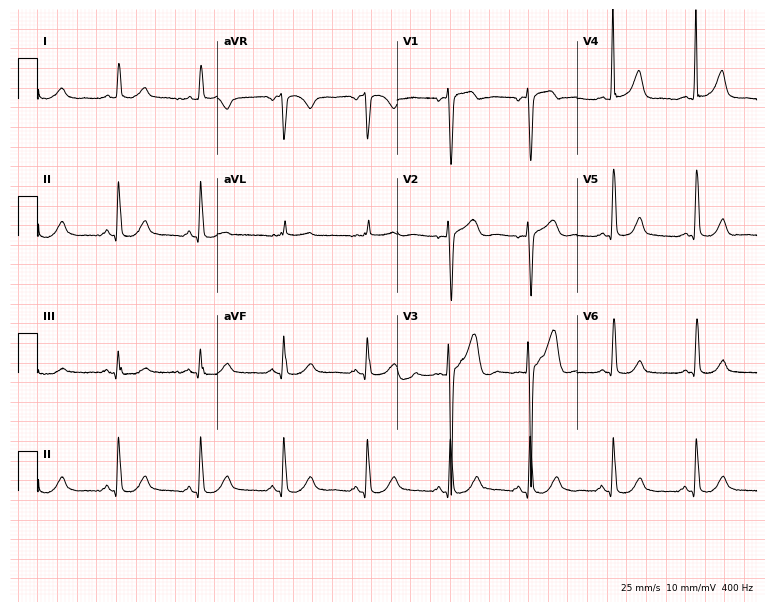
ECG (7.3-second recording at 400 Hz) — a woman, 79 years old. Labelled as a normal ECG.